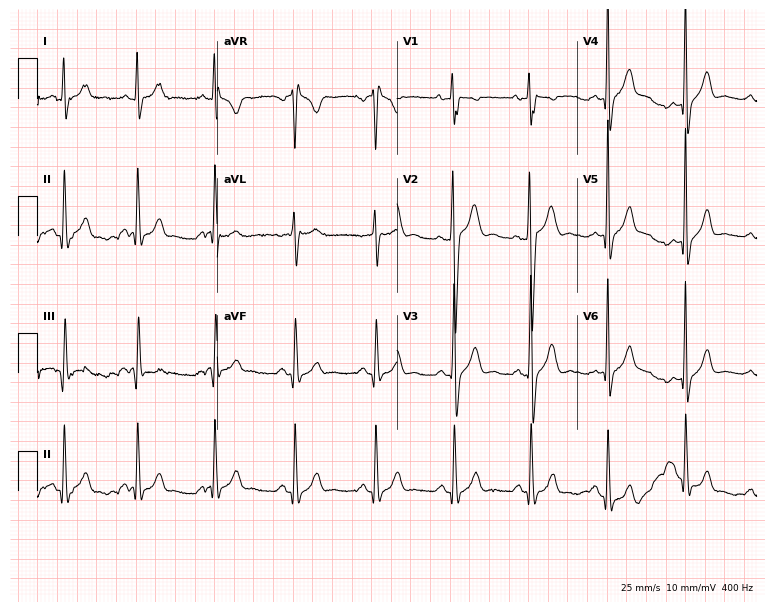
12-lead ECG from a 30-year-old man (7.3-second recording at 400 Hz). No first-degree AV block, right bundle branch block, left bundle branch block, sinus bradycardia, atrial fibrillation or sinus tachycardia recorded for this tracing. Only these six findings were labelled.